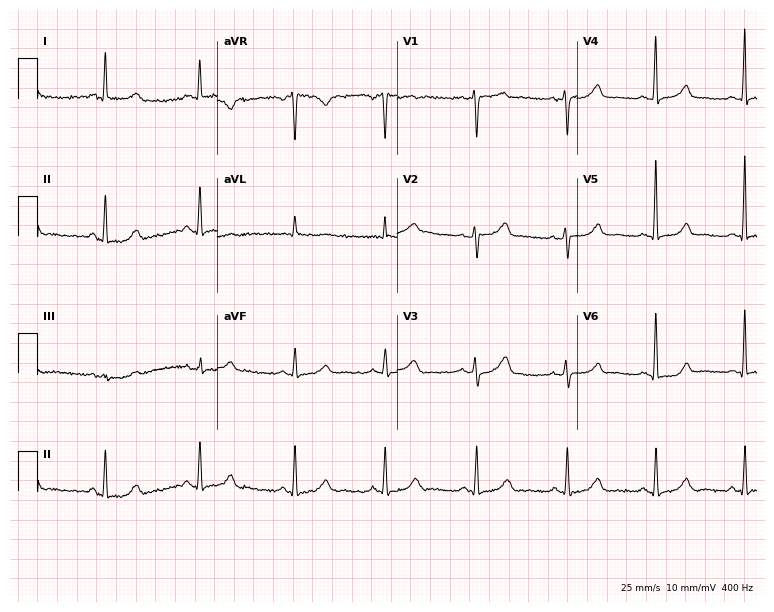
12-lead ECG from a 51-year-old woman. Recorded interpretation: within normal limits.